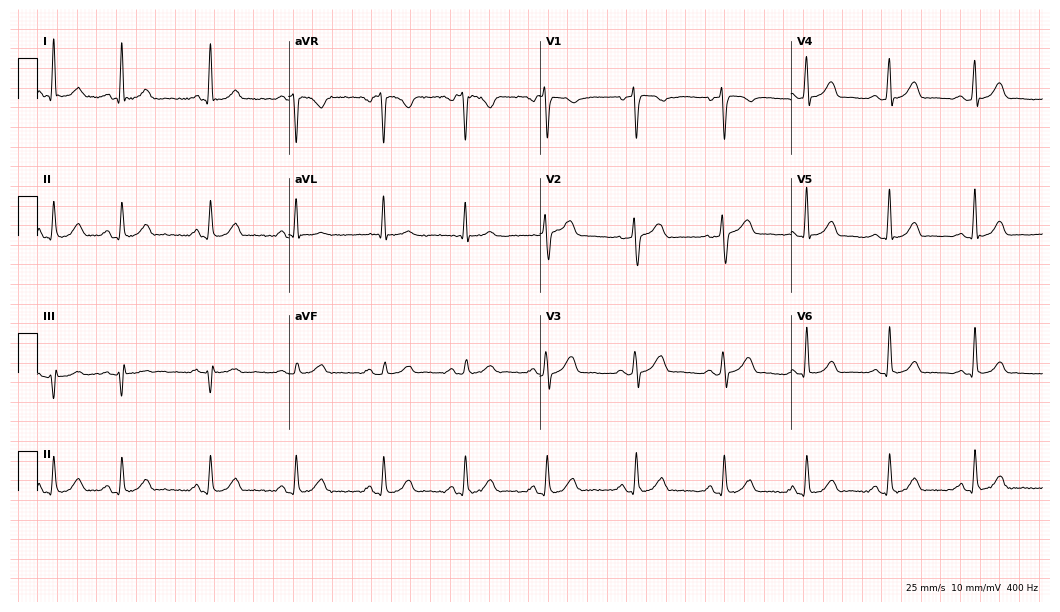
Electrocardiogram, a 51-year-old female patient. Overall reading on record: normal ECG.